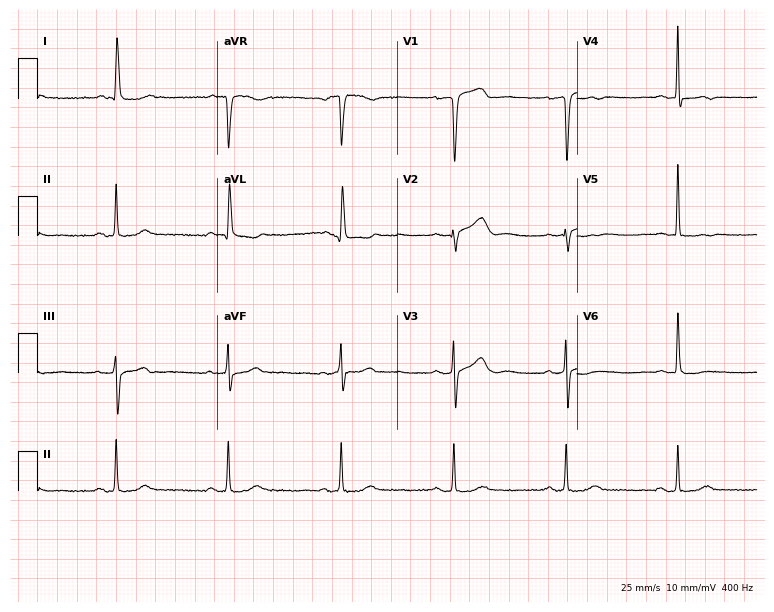
Resting 12-lead electrocardiogram. Patient: a woman, 82 years old. None of these six findings is recorded: first-degree AV block, right bundle branch block, left bundle branch block, sinus bradycardia, atrial fibrillation, sinus tachycardia. Other findings, if any, are not listed.